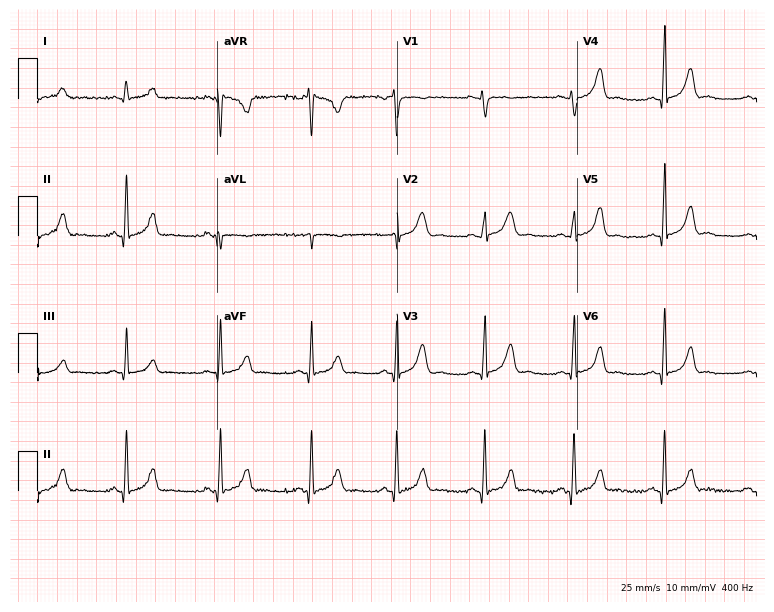
12-lead ECG from a female patient, 32 years old. Labelled as a normal ECG.